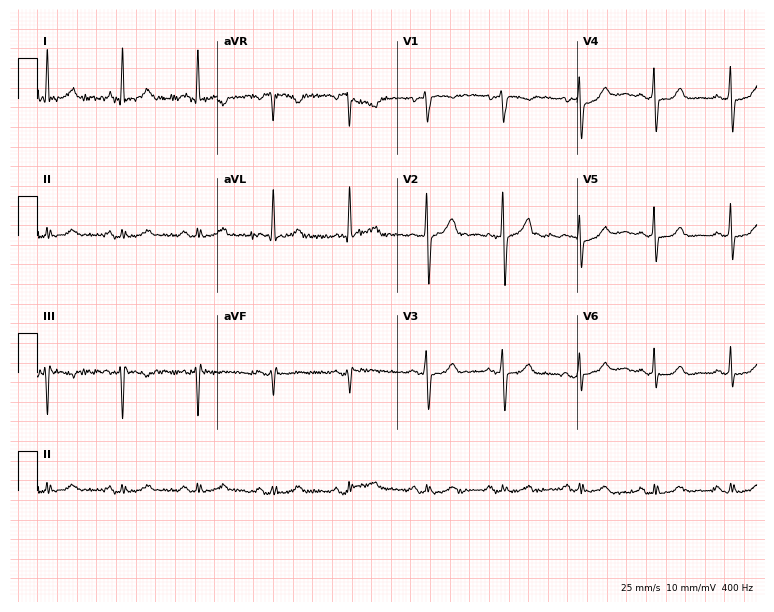
12-lead ECG from a woman, 52 years old. Labelled as a normal ECG.